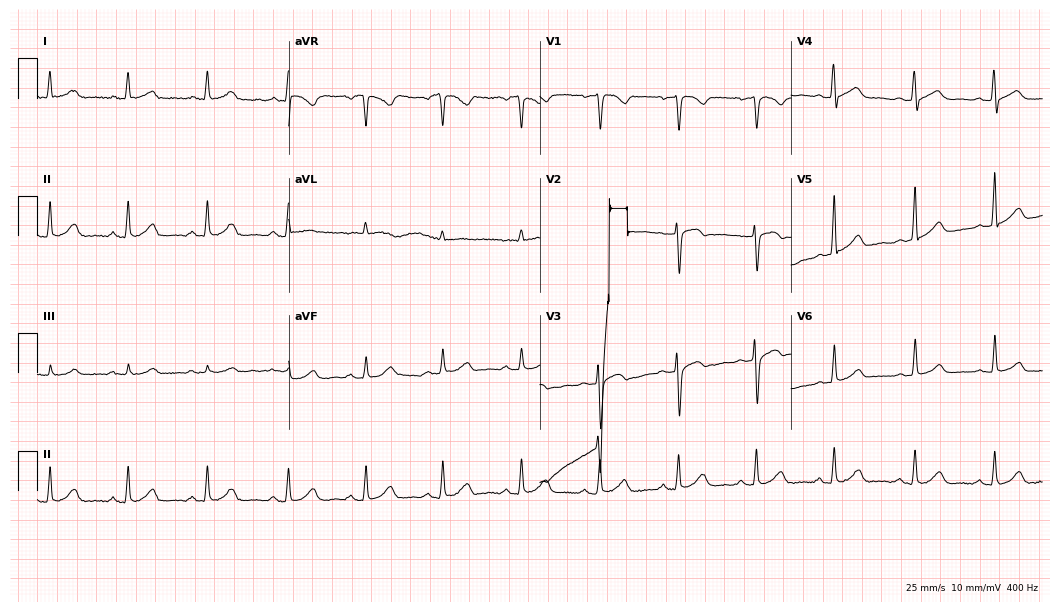
Electrocardiogram (10.2-second recording at 400 Hz), a 56-year-old female patient. Overall reading on record: normal ECG.